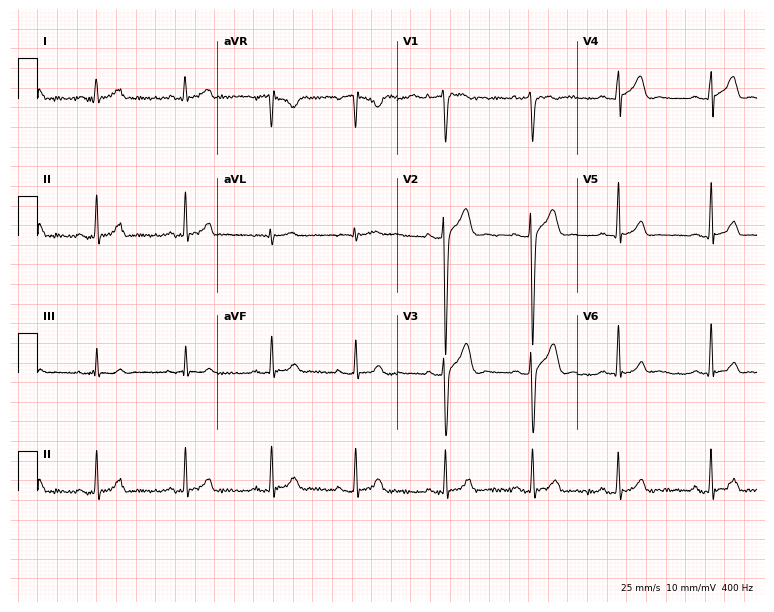
Standard 12-lead ECG recorded from a male, 26 years old. None of these six findings is recorded: first-degree AV block, right bundle branch block, left bundle branch block, sinus bradycardia, atrial fibrillation, sinus tachycardia. Findings outside these six are not listed.